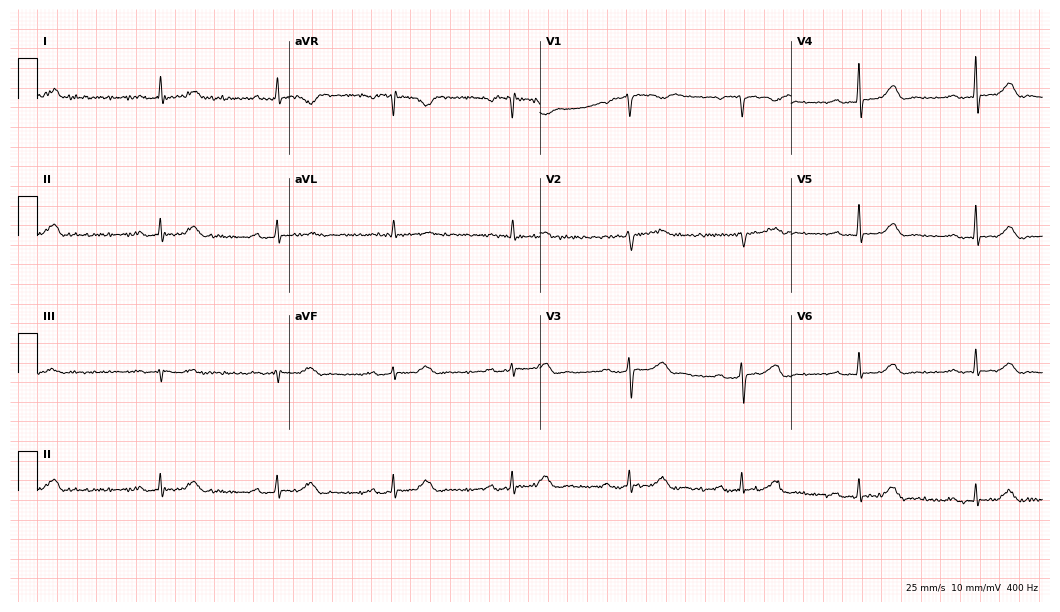
ECG (10.2-second recording at 400 Hz) — a 69-year-old female. Labelled as a normal ECG.